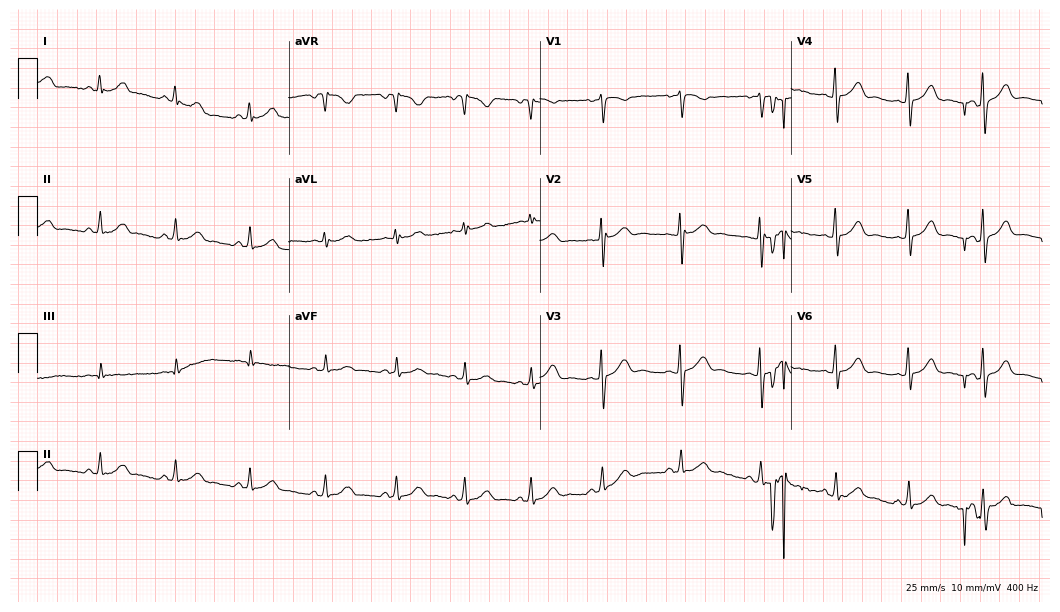
ECG — a 24-year-old female. Labelled as a normal ECG.